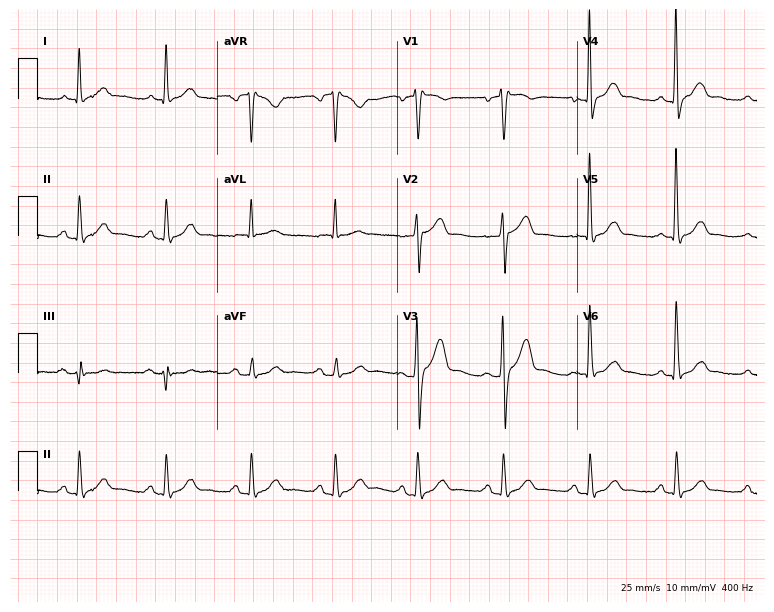
ECG — a male, 70 years old. Screened for six findings — first-degree AV block, right bundle branch block, left bundle branch block, sinus bradycardia, atrial fibrillation, sinus tachycardia — none is recorded. Other findings, if any, are not listed.